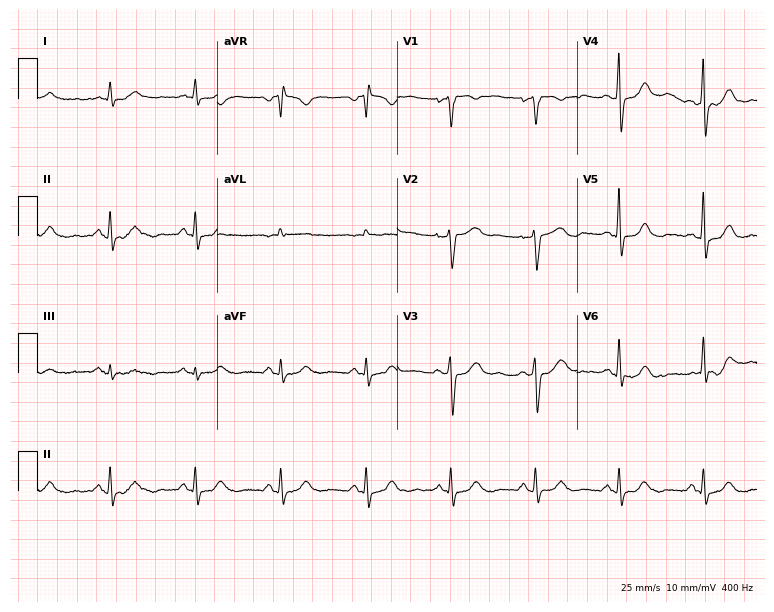
12-lead ECG (7.3-second recording at 400 Hz) from a 62-year-old male. Screened for six findings — first-degree AV block, right bundle branch block (RBBB), left bundle branch block (LBBB), sinus bradycardia, atrial fibrillation (AF), sinus tachycardia — none is recorded.